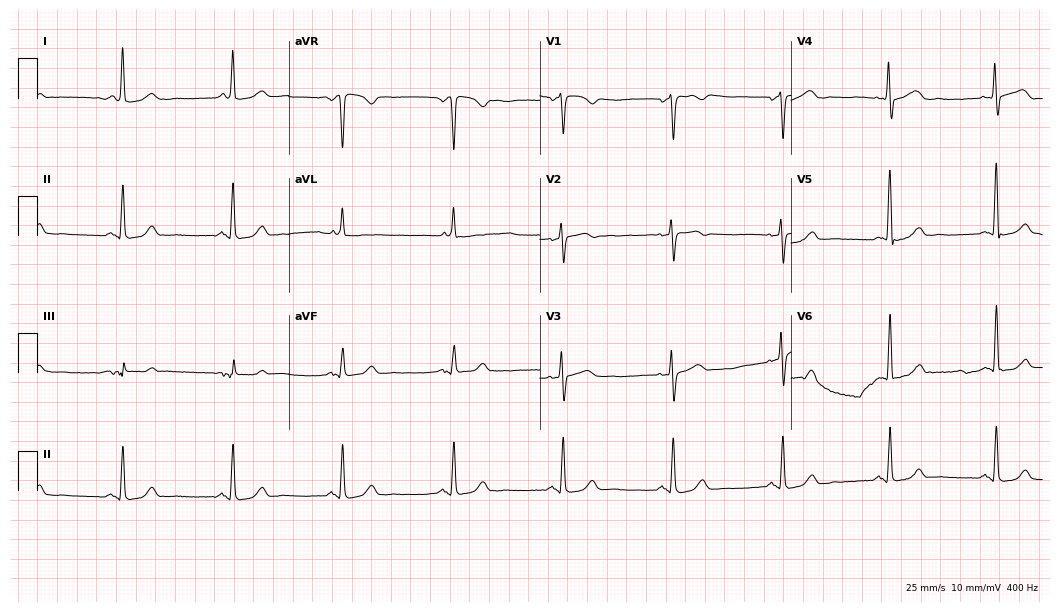
ECG — a 69-year-old woman. Labelled as a normal ECG.